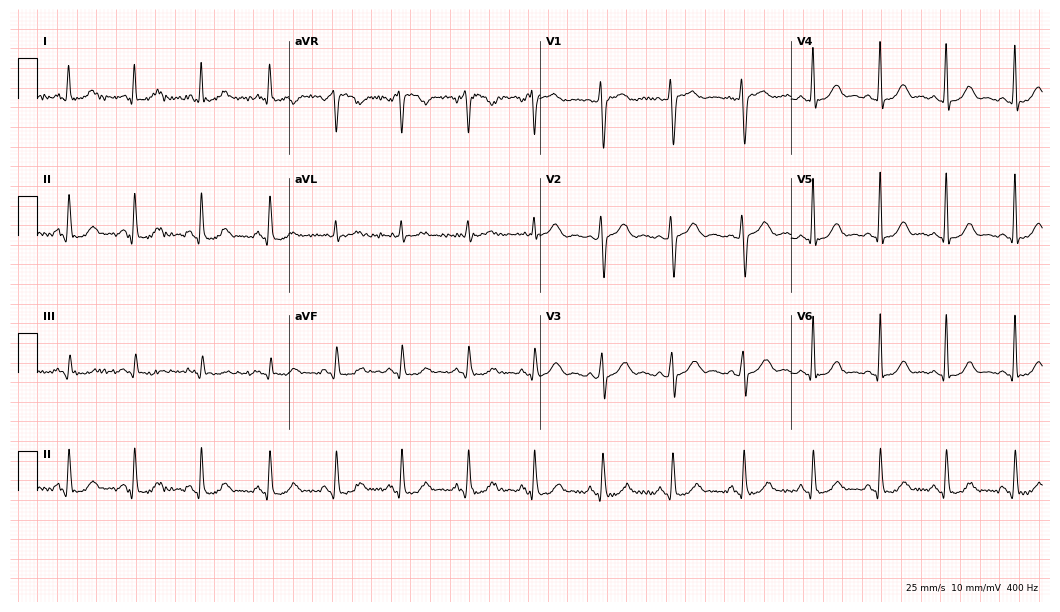
Standard 12-lead ECG recorded from a 44-year-old woman (10.2-second recording at 400 Hz). Read as a normal ECG.